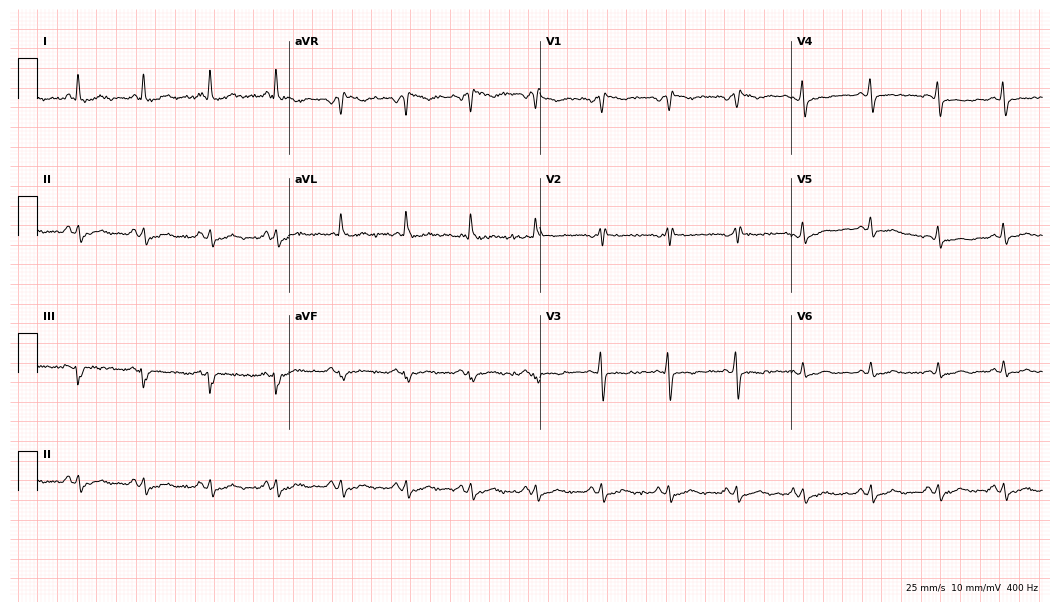
ECG — a woman, 37 years old. Screened for six findings — first-degree AV block, right bundle branch block, left bundle branch block, sinus bradycardia, atrial fibrillation, sinus tachycardia — none is recorded. Only these six findings were labelled.